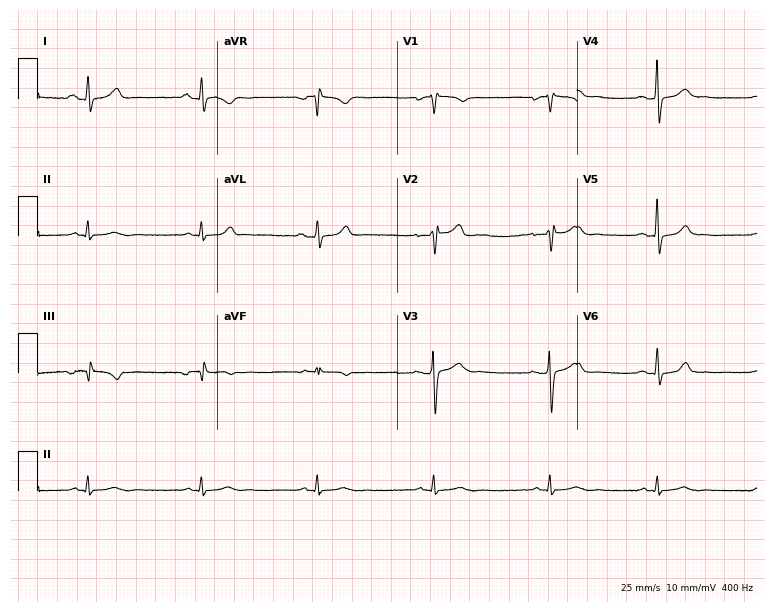
ECG — a female patient, 44 years old. Labelled as a normal ECG.